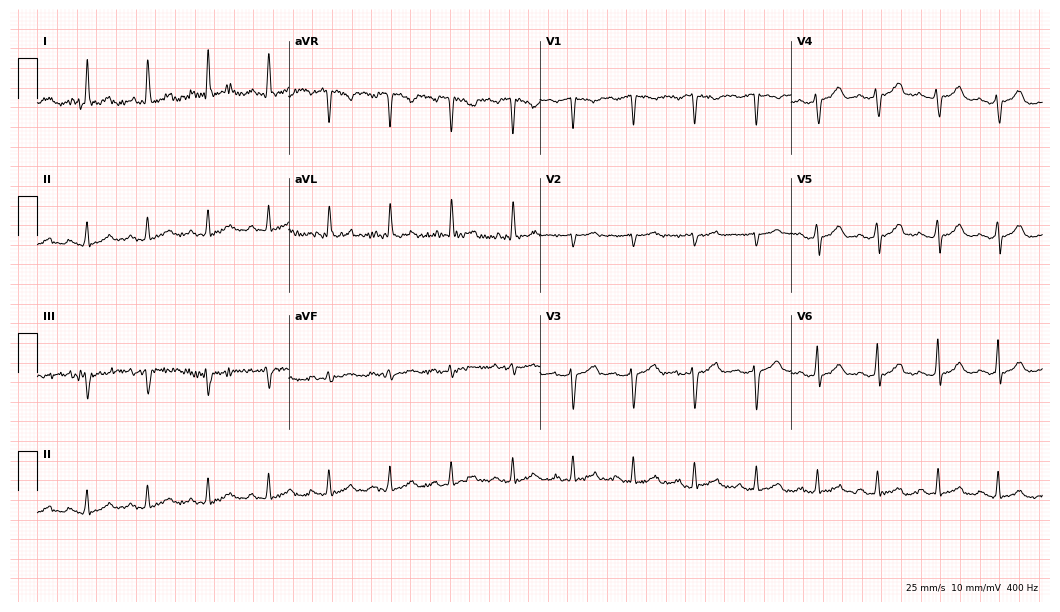
Resting 12-lead electrocardiogram. Patient: a female, 50 years old. Read as a normal ECG.